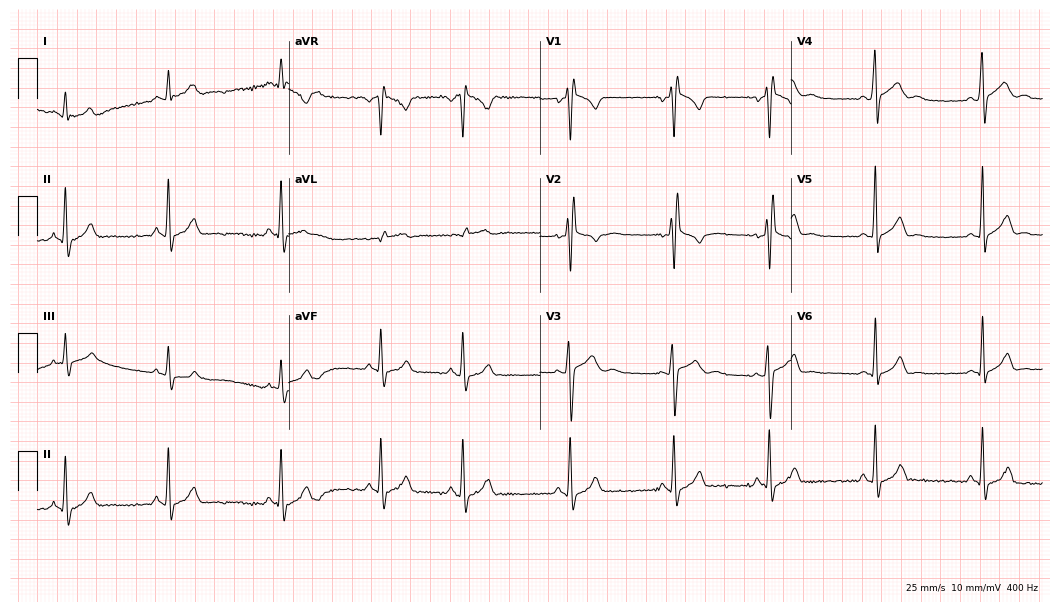
12-lead ECG from a man, 17 years old. Shows right bundle branch block.